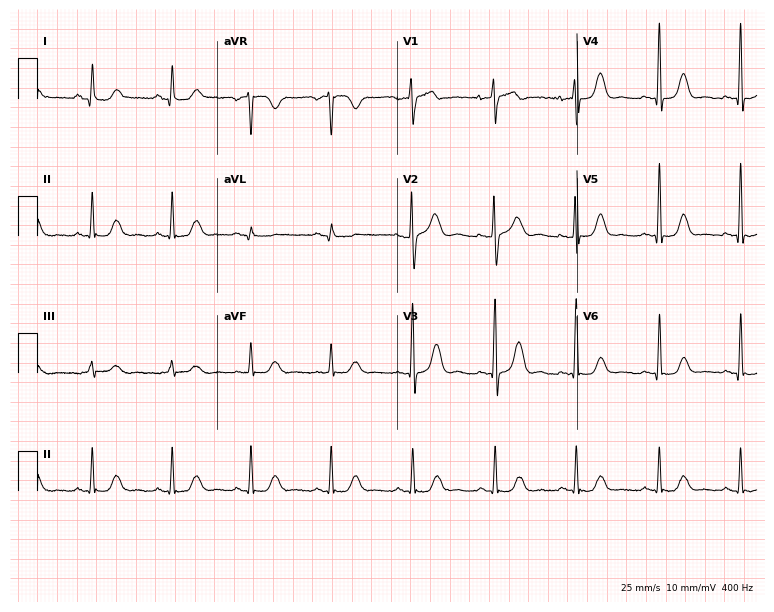
12-lead ECG from a 58-year-old woman. Recorded interpretation: within normal limits.